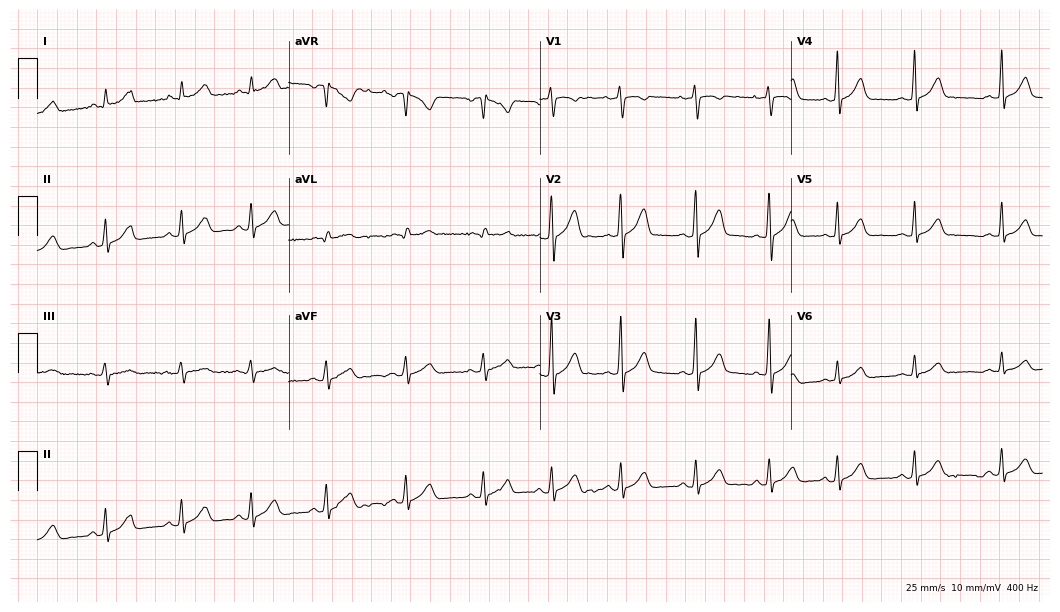
12-lead ECG from a 26-year-old female patient. Labelled as a normal ECG.